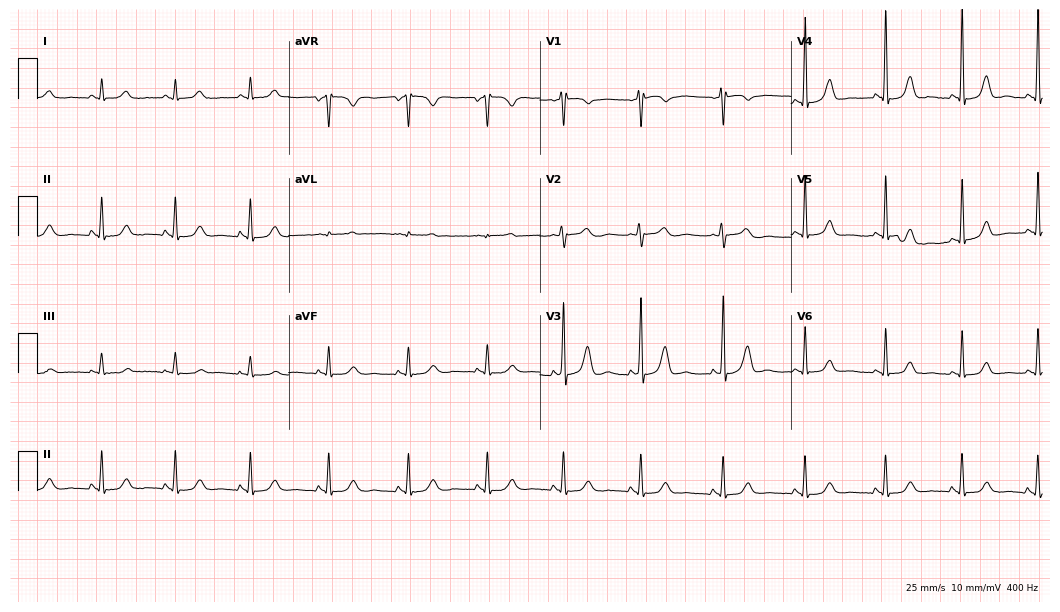
Standard 12-lead ECG recorded from a female, 27 years old (10.2-second recording at 400 Hz). Read as a normal ECG.